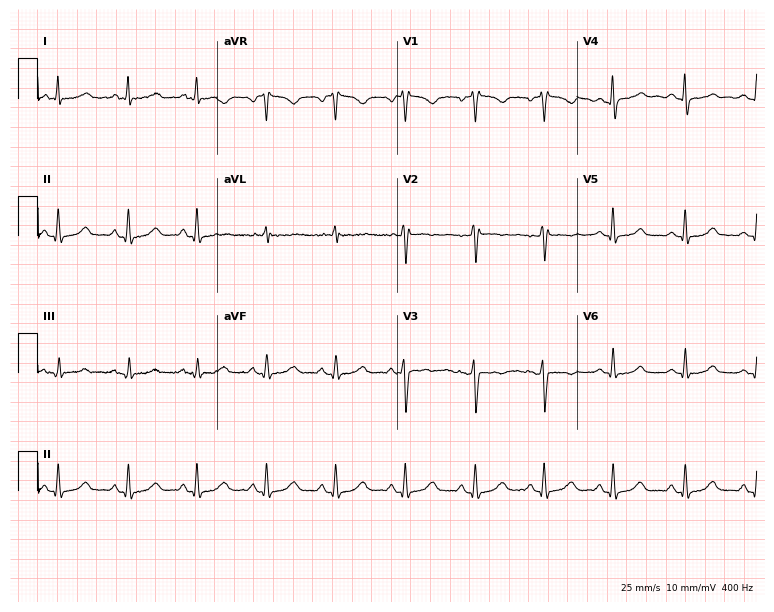
Resting 12-lead electrocardiogram. Patient: a woman, 43 years old. None of these six findings is recorded: first-degree AV block, right bundle branch block, left bundle branch block, sinus bradycardia, atrial fibrillation, sinus tachycardia. Other findings, if any, are not listed.